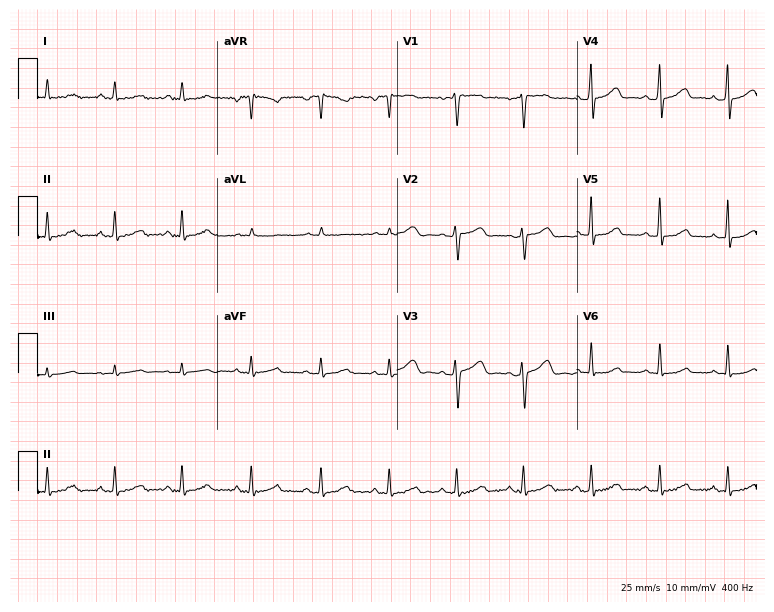
12-lead ECG (7.3-second recording at 400 Hz) from a female, 37 years old. Screened for six findings — first-degree AV block, right bundle branch block, left bundle branch block, sinus bradycardia, atrial fibrillation, sinus tachycardia — none is recorded.